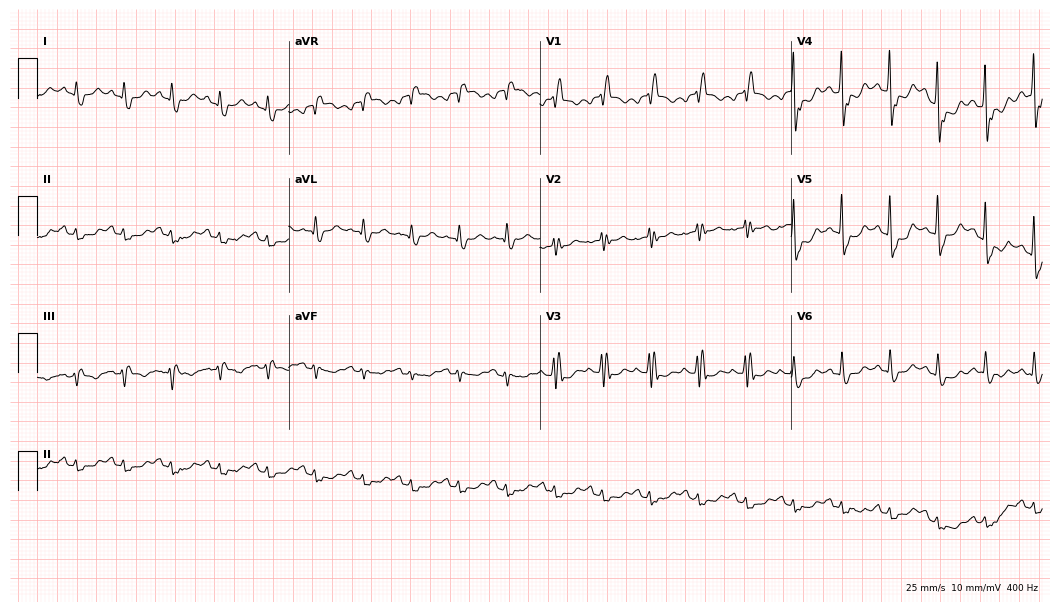
ECG — an 84-year-old male patient. Findings include right bundle branch block, sinus tachycardia (a sinus rate of 100 beats per minute or more).